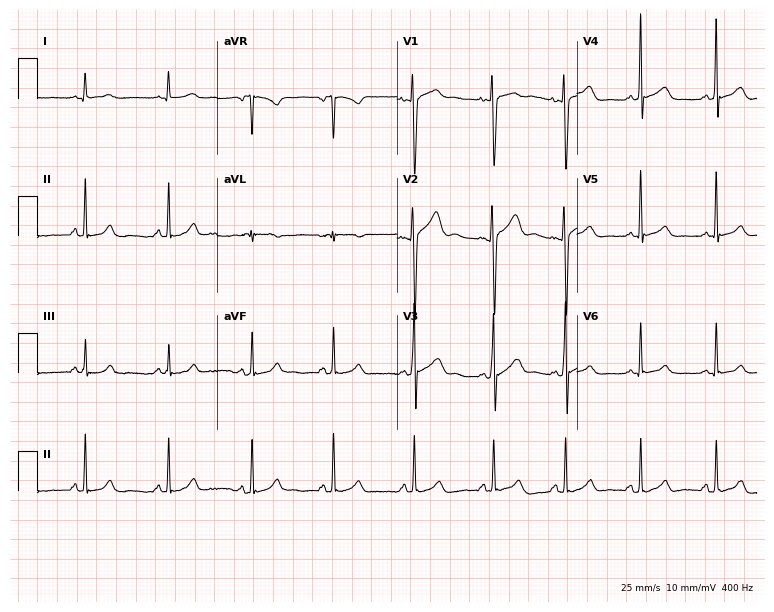
Electrocardiogram, a female, 25 years old. Of the six screened findings (first-degree AV block, right bundle branch block (RBBB), left bundle branch block (LBBB), sinus bradycardia, atrial fibrillation (AF), sinus tachycardia), none is recorded. Other findings, if any, are not listed.